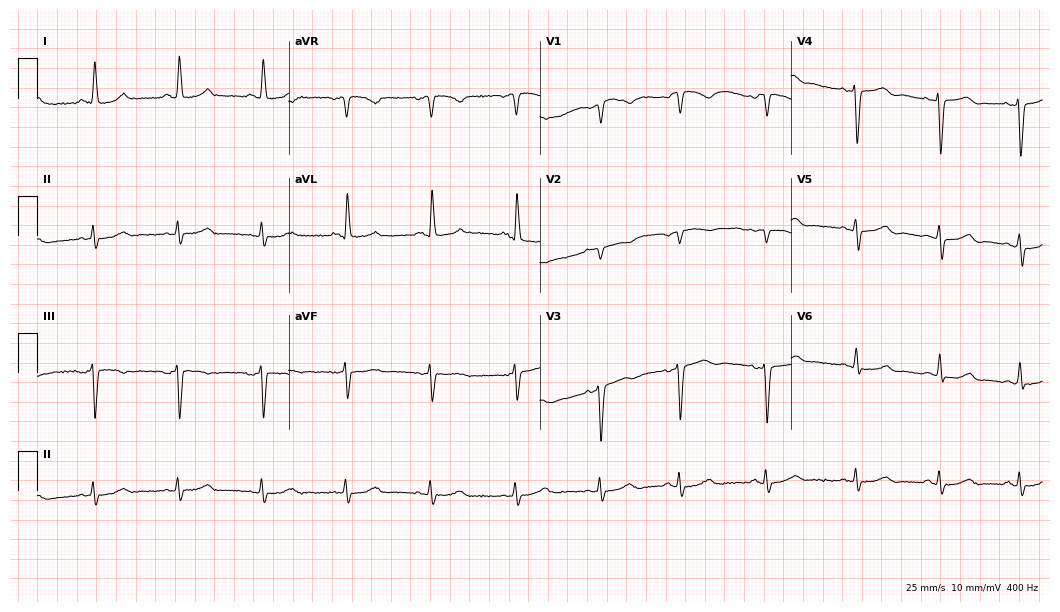
ECG (10.2-second recording at 400 Hz) — a female, 80 years old. Screened for six findings — first-degree AV block, right bundle branch block, left bundle branch block, sinus bradycardia, atrial fibrillation, sinus tachycardia — none is recorded. Other findings, if any, are not listed.